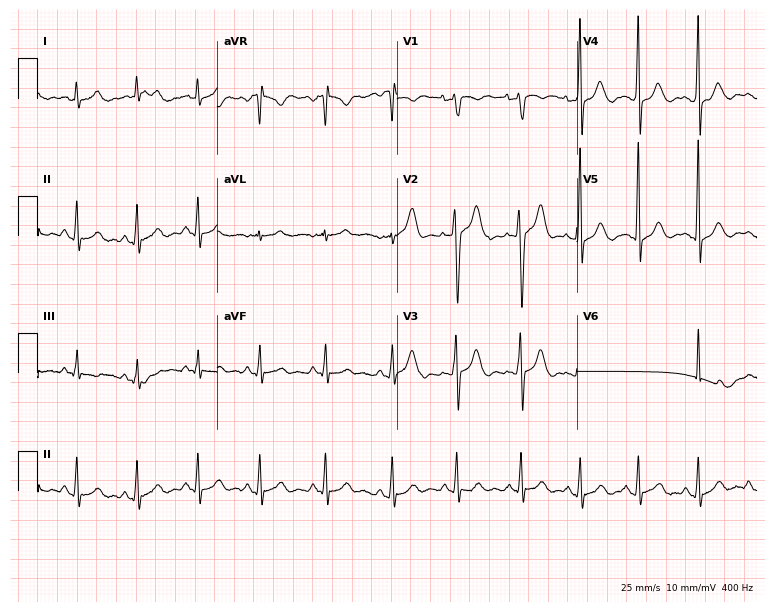
ECG (7.3-second recording at 400 Hz) — a 30-year-old male. Screened for six findings — first-degree AV block, right bundle branch block (RBBB), left bundle branch block (LBBB), sinus bradycardia, atrial fibrillation (AF), sinus tachycardia — none is recorded.